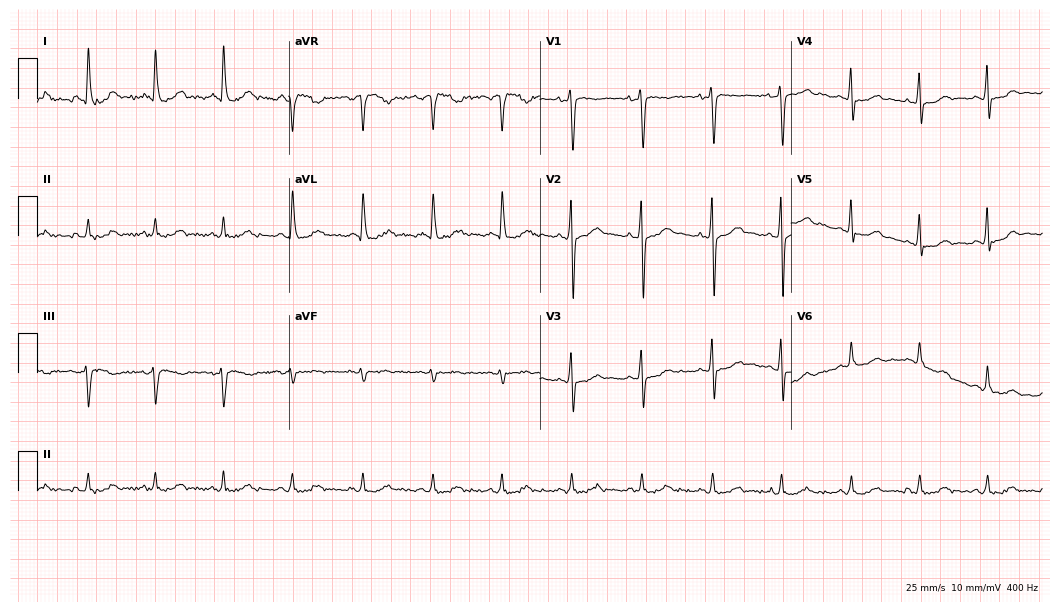
Standard 12-lead ECG recorded from a man, 63 years old. None of these six findings is recorded: first-degree AV block, right bundle branch block, left bundle branch block, sinus bradycardia, atrial fibrillation, sinus tachycardia.